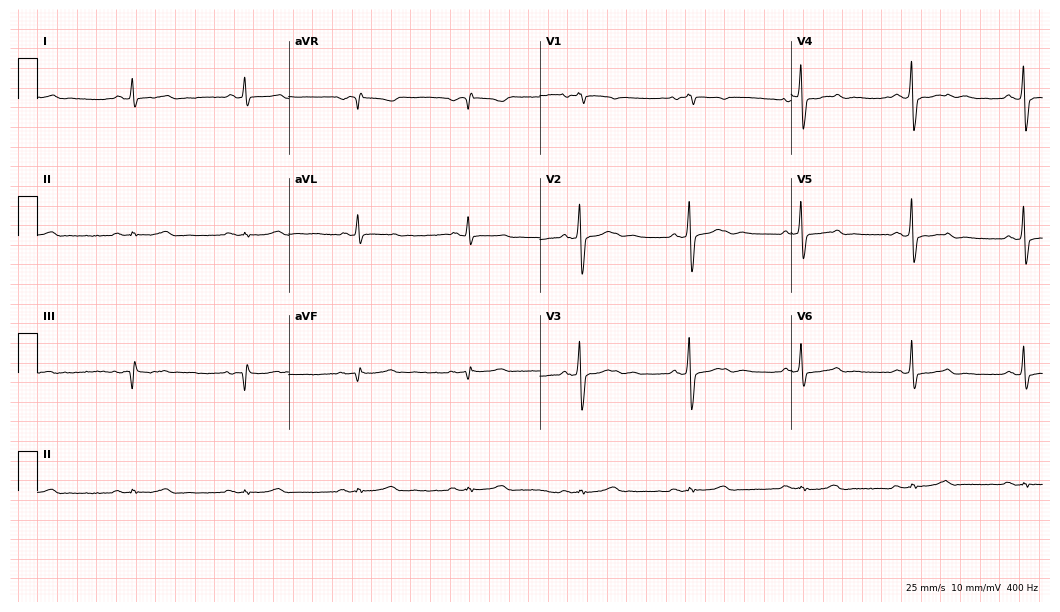
Resting 12-lead electrocardiogram. Patient: a 67-year-old male. Read as a normal ECG.